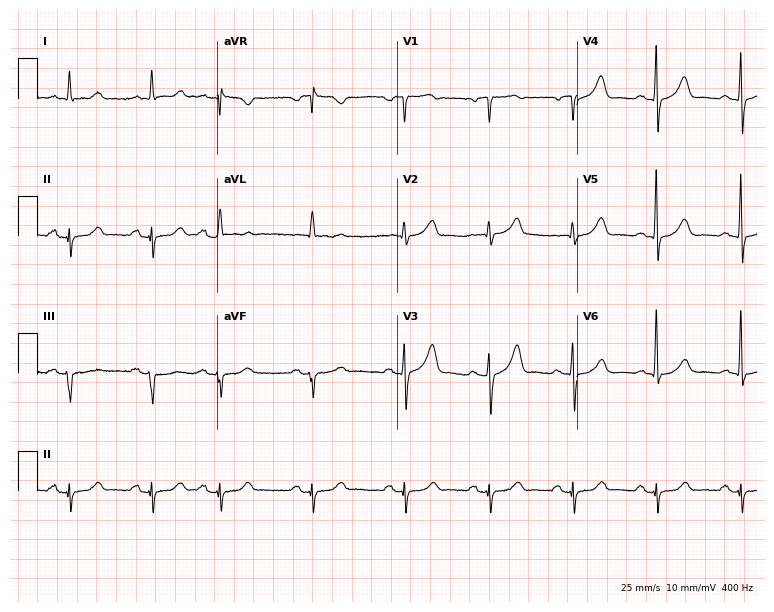
Electrocardiogram, a male patient, 77 years old. Of the six screened findings (first-degree AV block, right bundle branch block, left bundle branch block, sinus bradycardia, atrial fibrillation, sinus tachycardia), none is recorded.